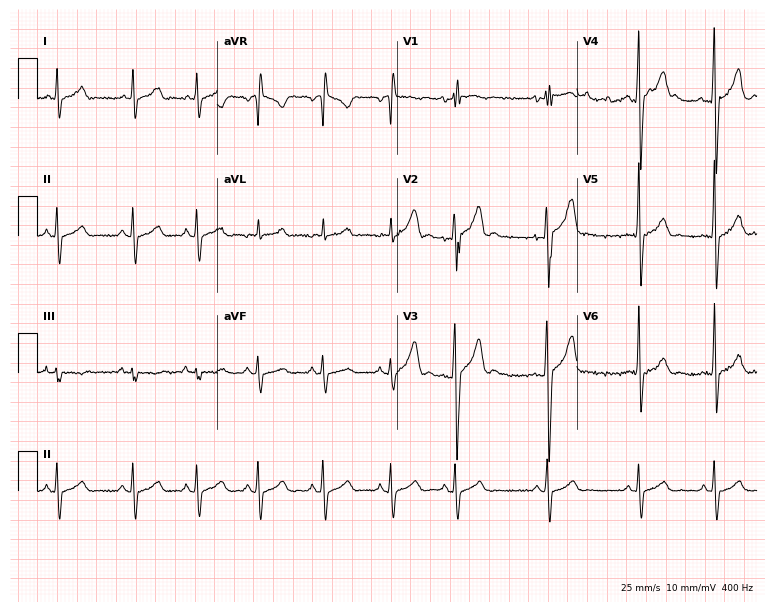
Electrocardiogram (7.3-second recording at 400 Hz), a 20-year-old man. Overall reading on record: normal ECG.